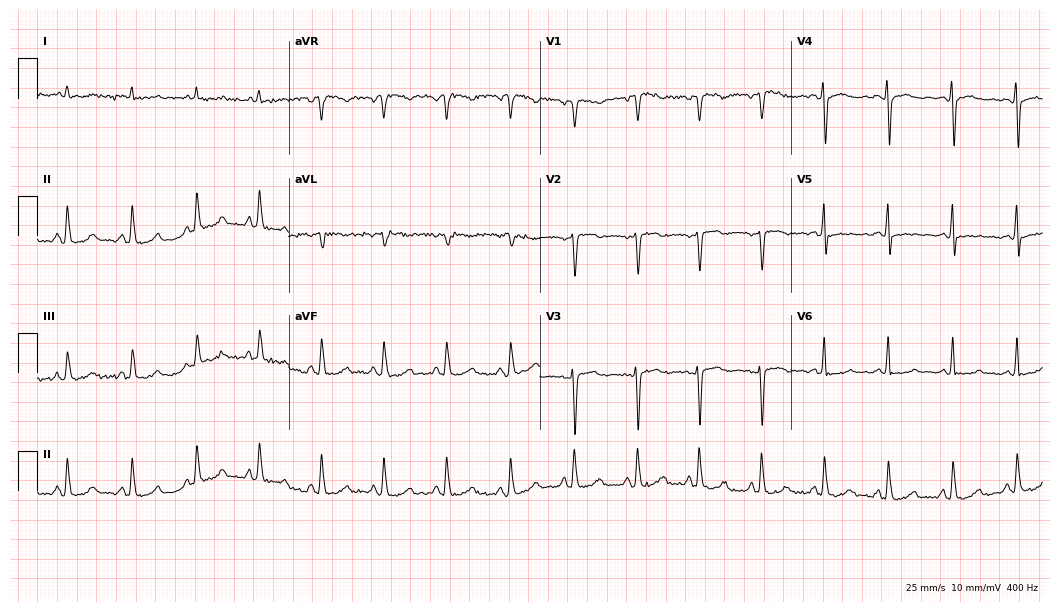
Standard 12-lead ECG recorded from a 72-year-old female (10.2-second recording at 400 Hz). None of these six findings is recorded: first-degree AV block, right bundle branch block (RBBB), left bundle branch block (LBBB), sinus bradycardia, atrial fibrillation (AF), sinus tachycardia.